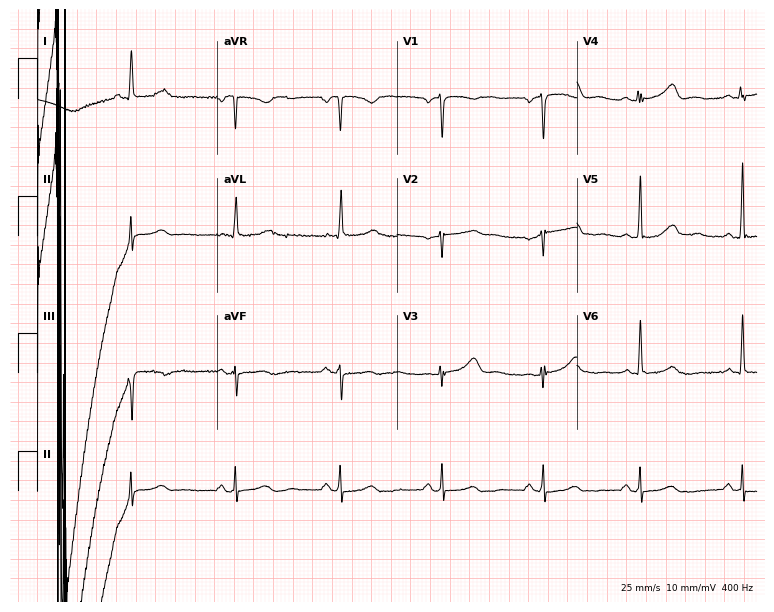
12-lead ECG (7.3-second recording at 400 Hz) from a 49-year-old female. Labelled as a normal ECG.